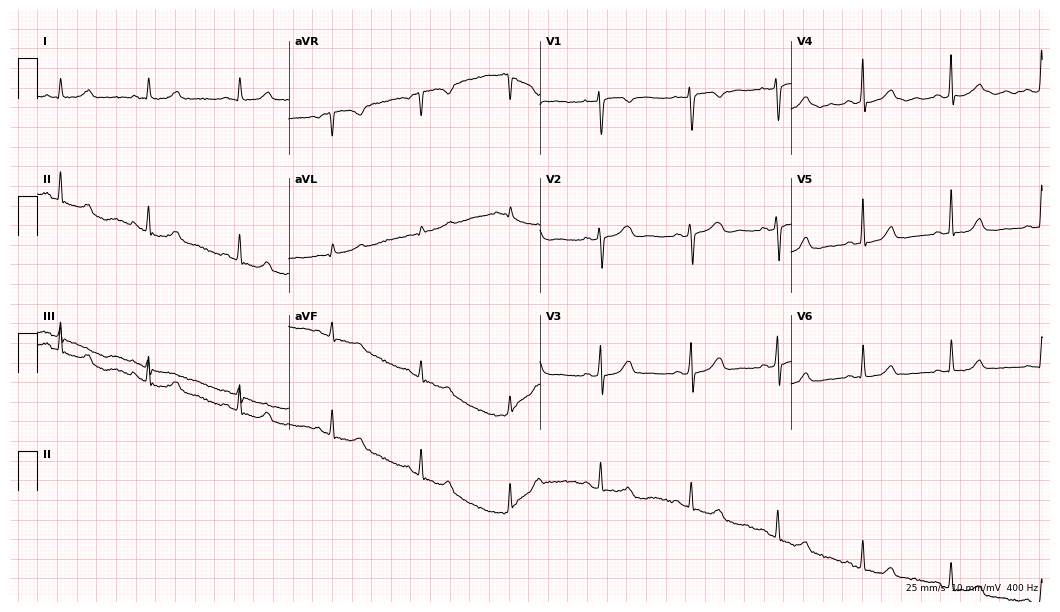
ECG — a woman, 44 years old. Labelled as a normal ECG.